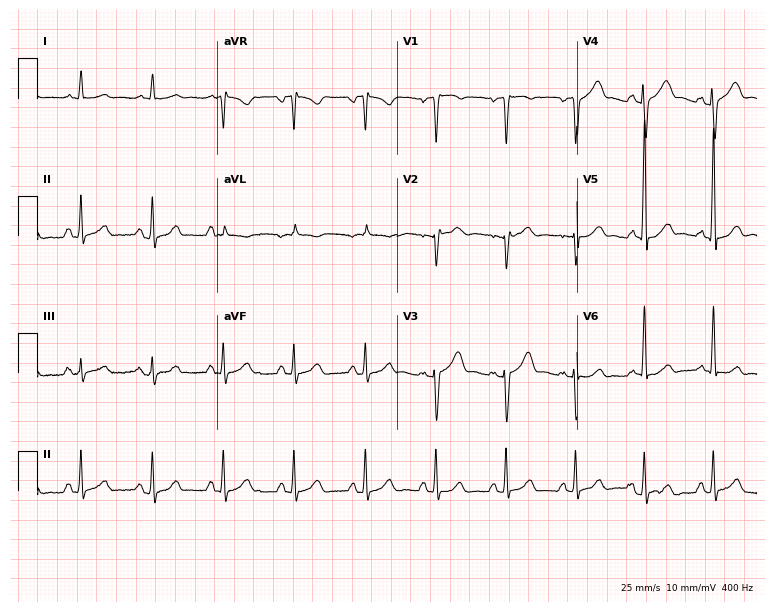
12-lead ECG from a man, 56 years old. Recorded interpretation: within normal limits.